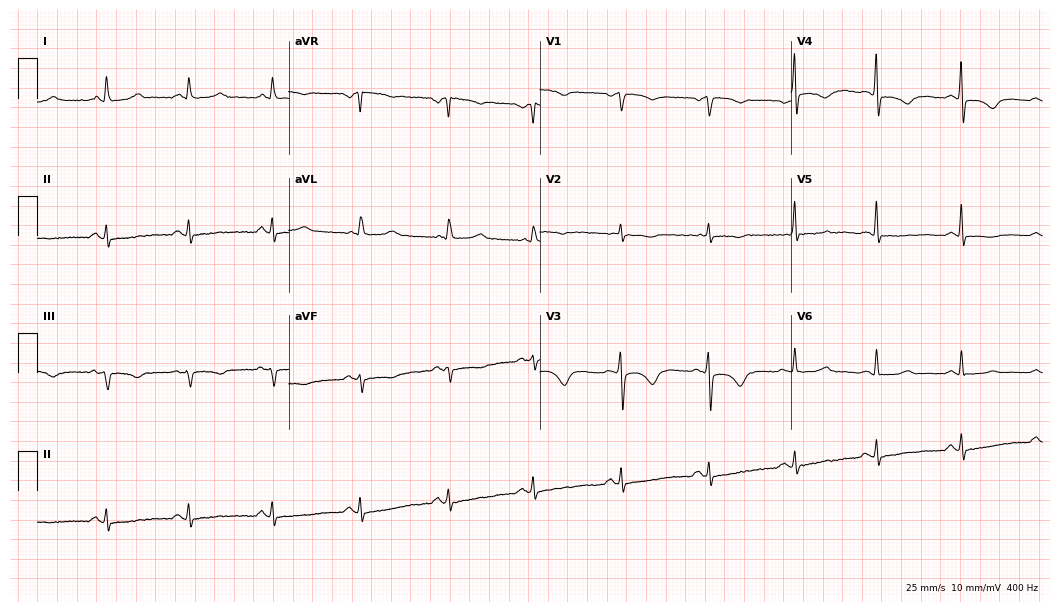
12-lead ECG from a 57-year-old female. Screened for six findings — first-degree AV block, right bundle branch block, left bundle branch block, sinus bradycardia, atrial fibrillation, sinus tachycardia — none is recorded.